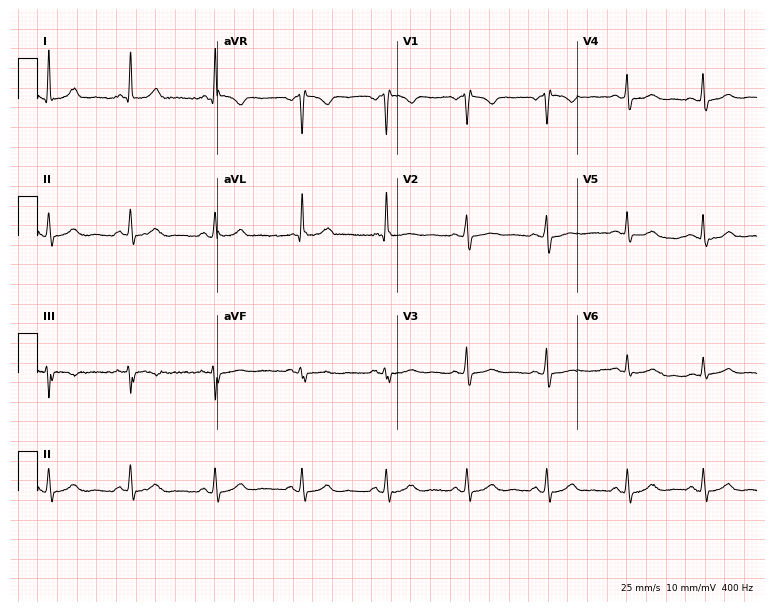
Resting 12-lead electrocardiogram (7.3-second recording at 400 Hz). Patient: a female, 39 years old. Read as a normal ECG.